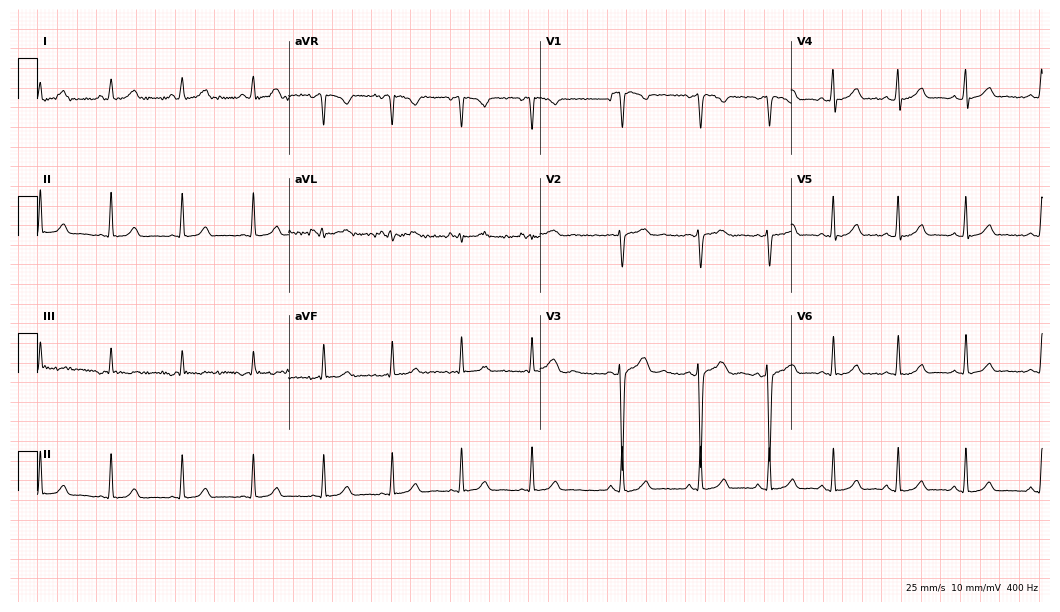
12-lead ECG (10.2-second recording at 400 Hz) from a female, 18 years old. Screened for six findings — first-degree AV block, right bundle branch block (RBBB), left bundle branch block (LBBB), sinus bradycardia, atrial fibrillation (AF), sinus tachycardia — none is recorded.